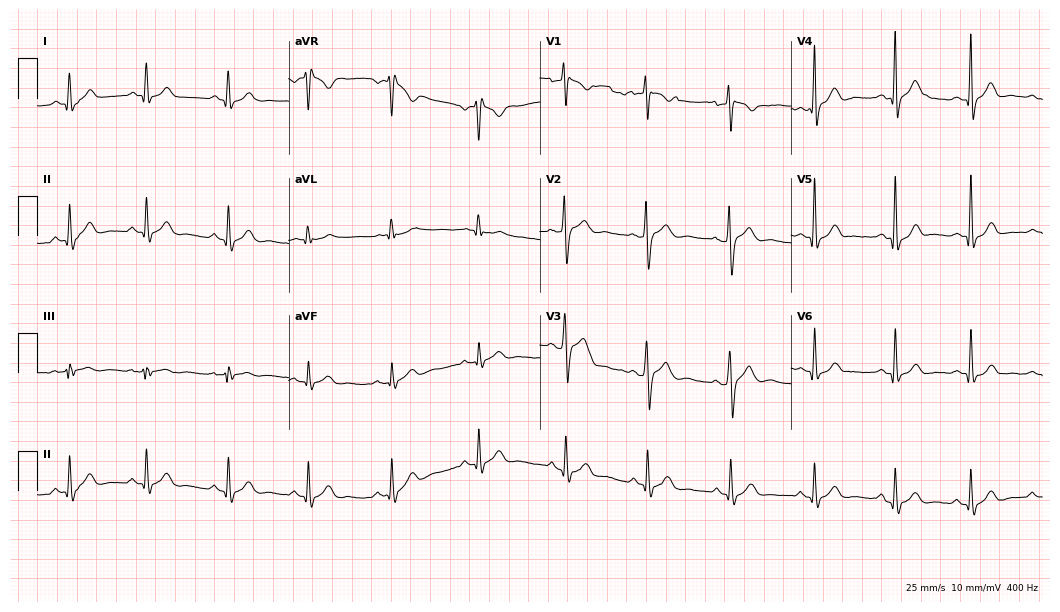
ECG — a 29-year-old man. Screened for six findings — first-degree AV block, right bundle branch block, left bundle branch block, sinus bradycardia, atrial fibrillation, sinus tachycardia — none is recorded.